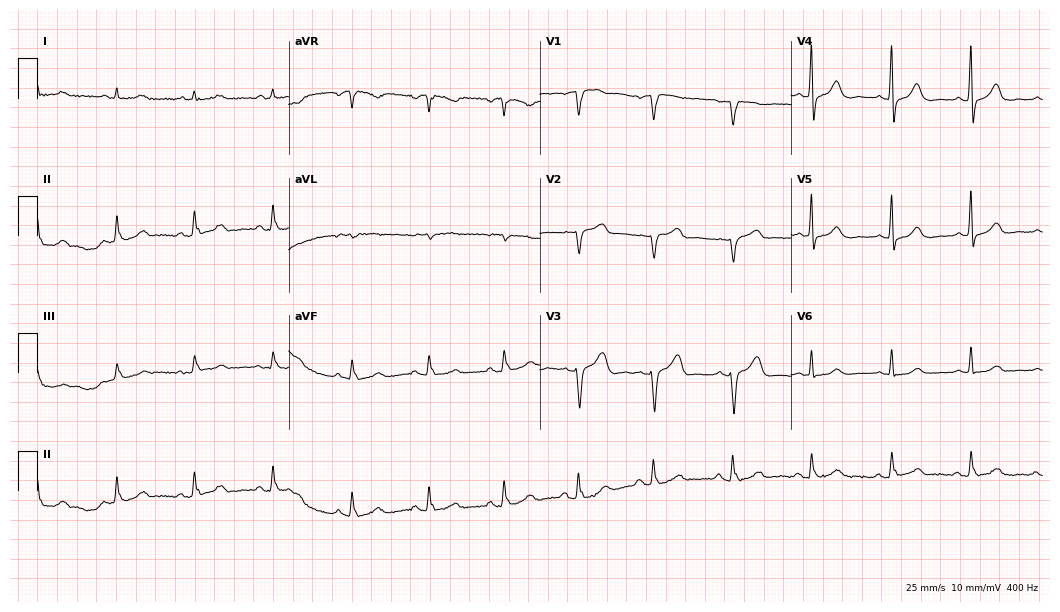
Resting 12-lead electrocardiogram. Patient: a female, 60 years old. Read as a normal ECG.